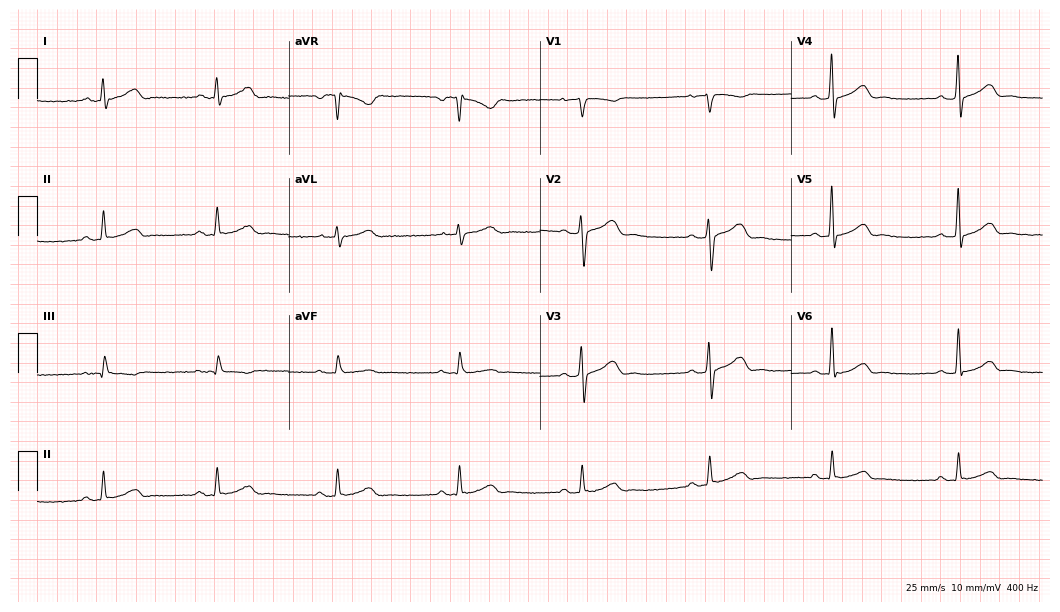
12-lead ECG from a male patient, 44 years old. Findings include sinus bradycardia (a sinus rate of 50 beats per minute or less).